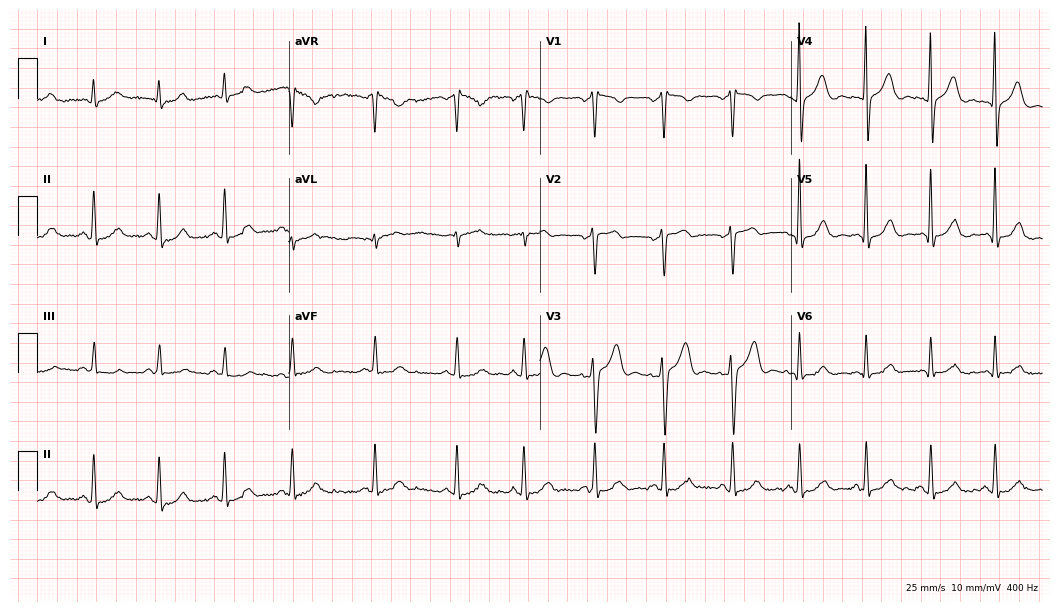
12-lead ECG from a 50-year-old male (10.2-second recording at 400 Hz). No first-degree AV block, right bundle branch block, left bundle branch block, sinus bradycardia, atrial fibrillation or sinus tachycardia recorded for this tracing.